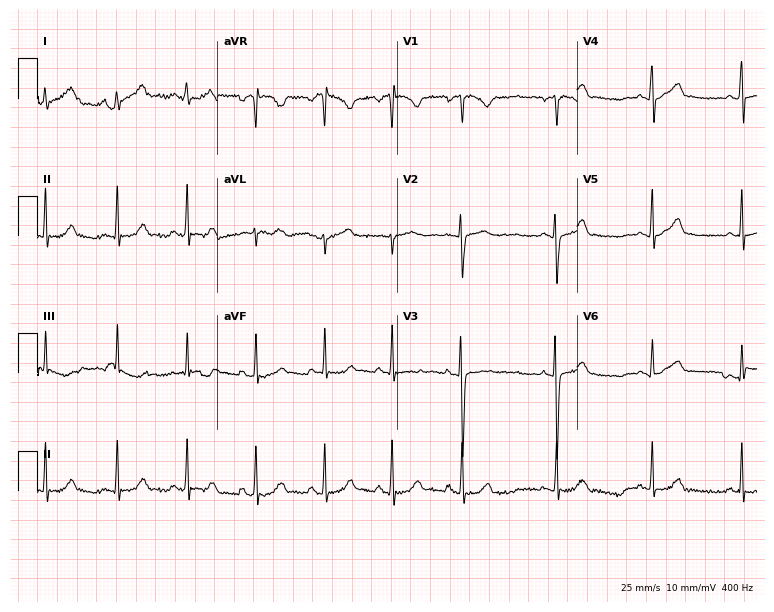
Standard 12-lead ECG recorded from a female patient, 17 years old (7.3-second recording at 400 Hz). None of these six findings is recorded: first-degree AV block, right bundle branch block, left bundle branch block, sinus bradycardia, atrial fibrillation, sinus tachycardia. Findings outside these six are not listed.